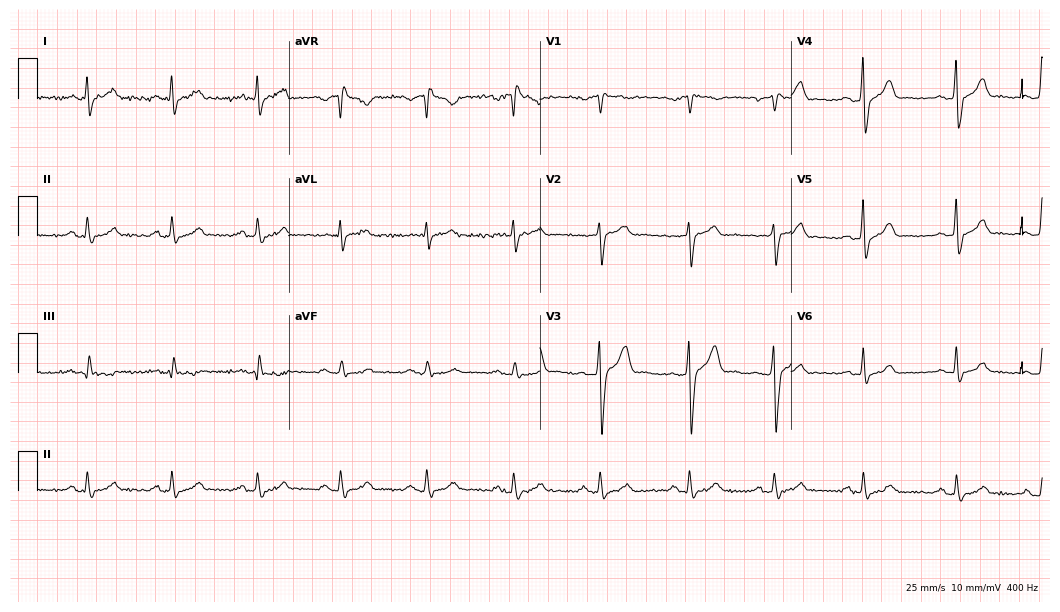
12-lead ECG (10.2-second recording at 400 Hz) from a 42-year-old man. Screened for six findings — first-degree AV block, right bundle branch block (RBBB), left bundle branch block (LBBB), sinus bradycardia, atrial fibrillation (AF), sinus tachycardia — none is recorded.